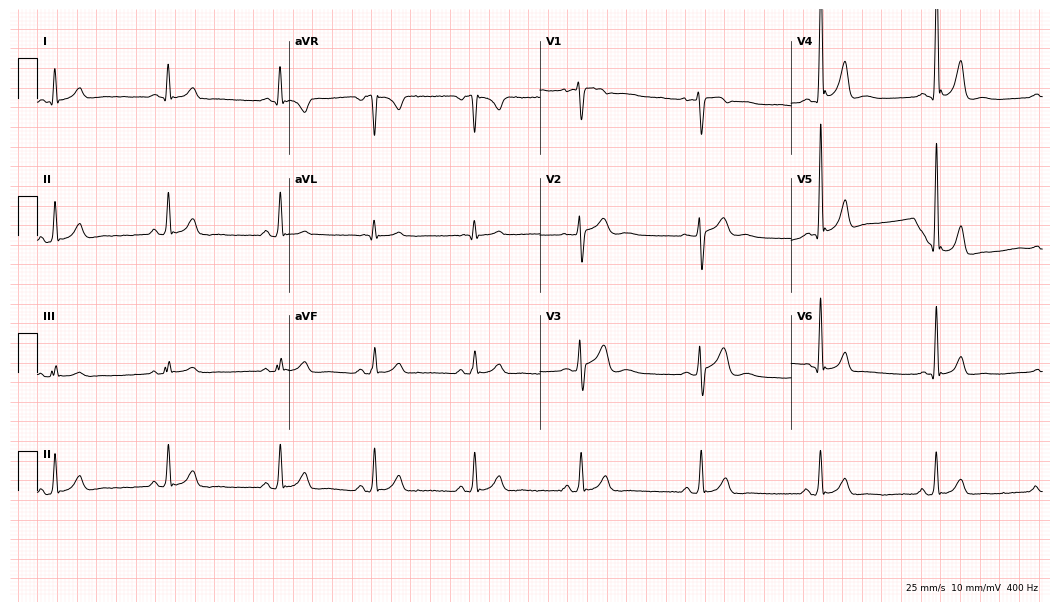
Electrocardiogram, a 37-year-old man. Of the six screened findings (first-degree AV block, right bundle branch block, left bundle branch block, sinus bradycardia, atrial fibrillation, sinus tachycardia), none is recorded.